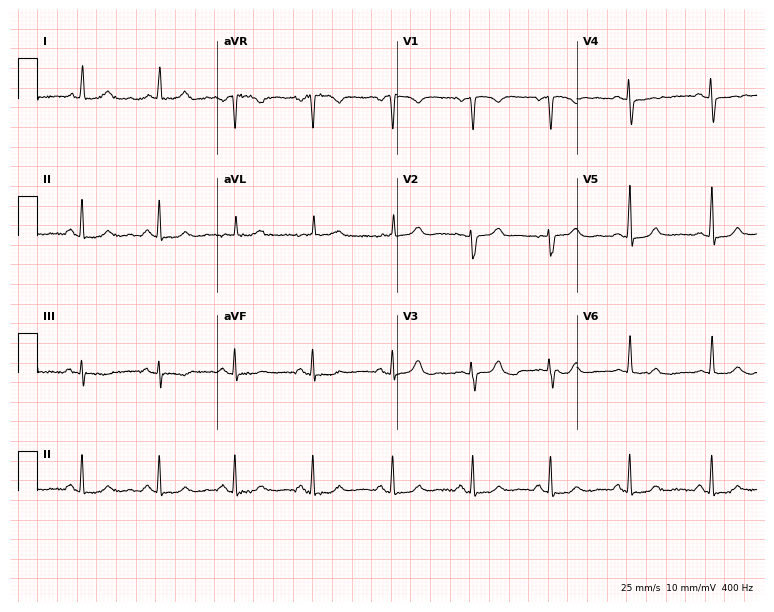
Electrocardiogram, a female patient, 52 years old. Of the six screened findings (first-degree AV block, right bundle branch block, left bundle branch block, sinus bradycardia, atrial fibrillation, sinus tachycardia), none is recorded. Only these six findings were labelled.